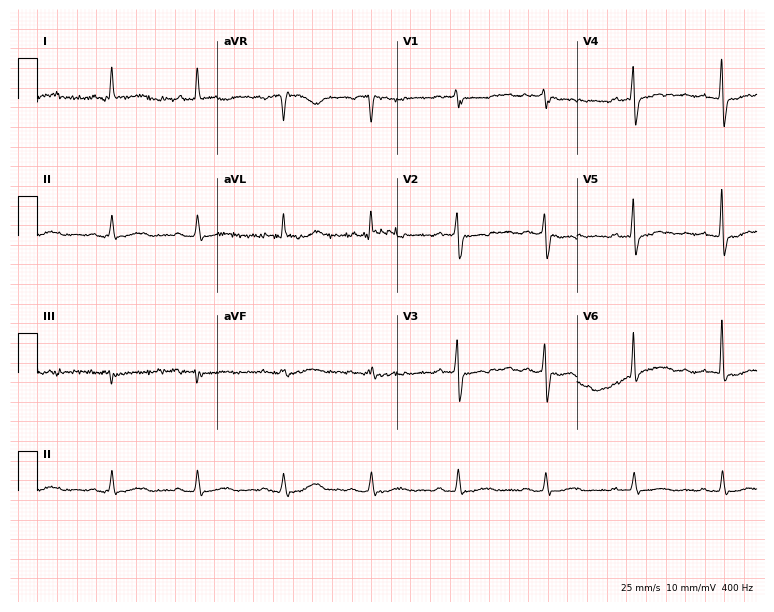
12-lead ECG (7.3-second recording at 400 Hz) from a 73-year-old female patient. Labelled as a normal ECG.